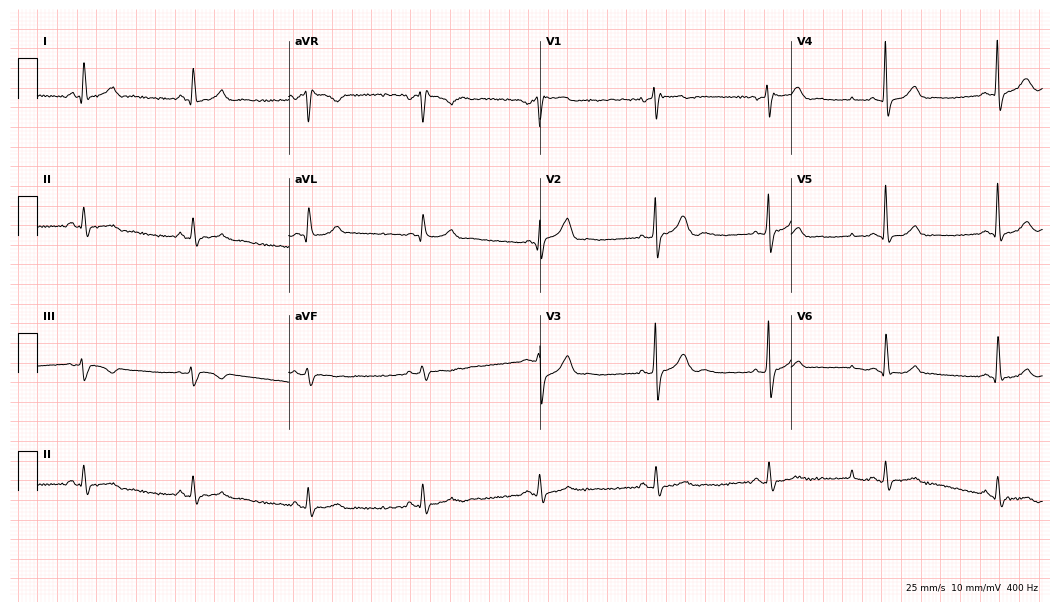
12-lead ECG from a male, 50 years old. No first-degree AV block, right bundle branch block, left bundle branch block, sinus bradycardia, atrial fibrillation or sinus tachycardia recorded for this tracing. Findings outside these six are not listed.